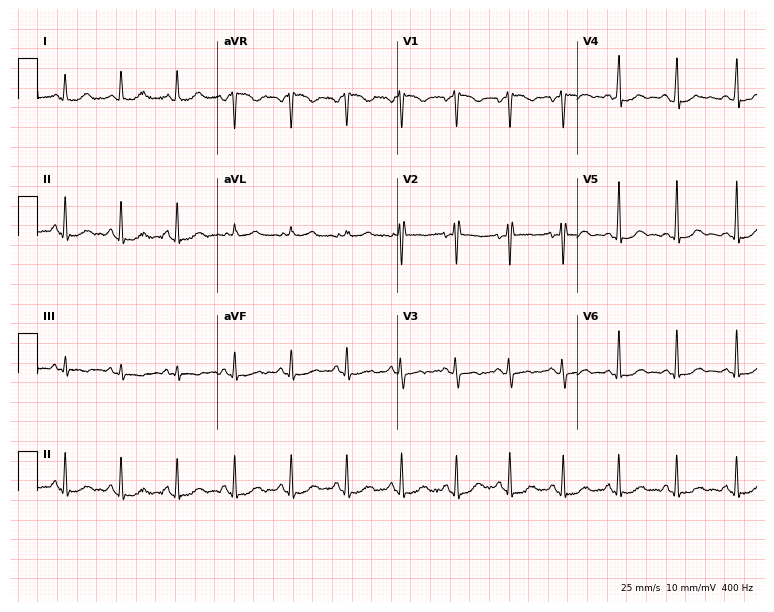
ECG — a woman, 27 years old. Findings include sinus tachycardia (a sinus rate of 100 beats per minute or more).